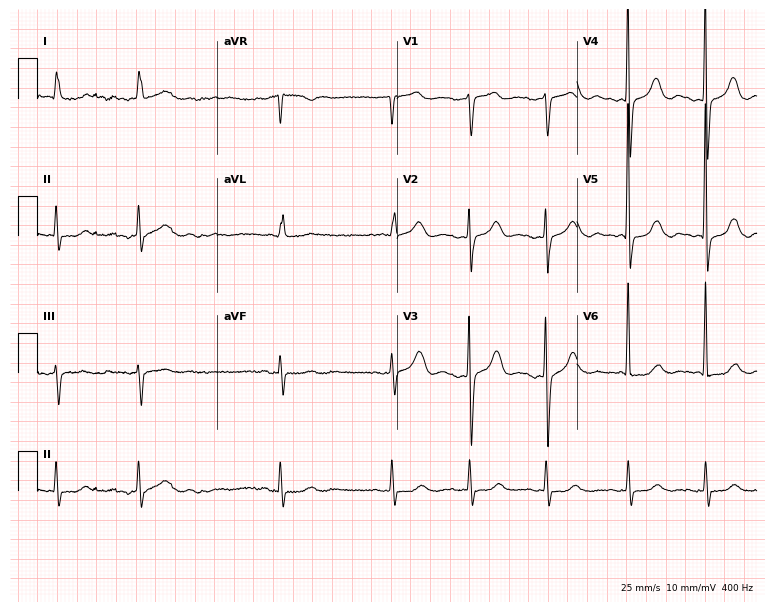
ECG (7.3-second recording at 400 Hz) — an 85-year-old woman. Findings include atrial fibrillation.